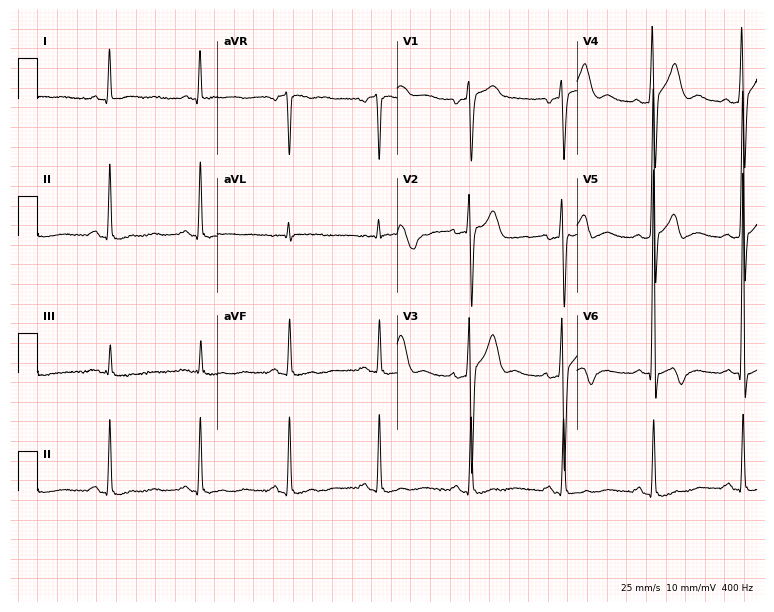
Electrocardiogram, a 70-year-old male patient. Of the six screened findings (first-degree AV block, right bundle branch block (RBBB), left bundle branch block (LBBB), sinus bradycardia, atrial fibrillation (AF), sinus tachycardia), none is recorded. Only these six findings were labelled.